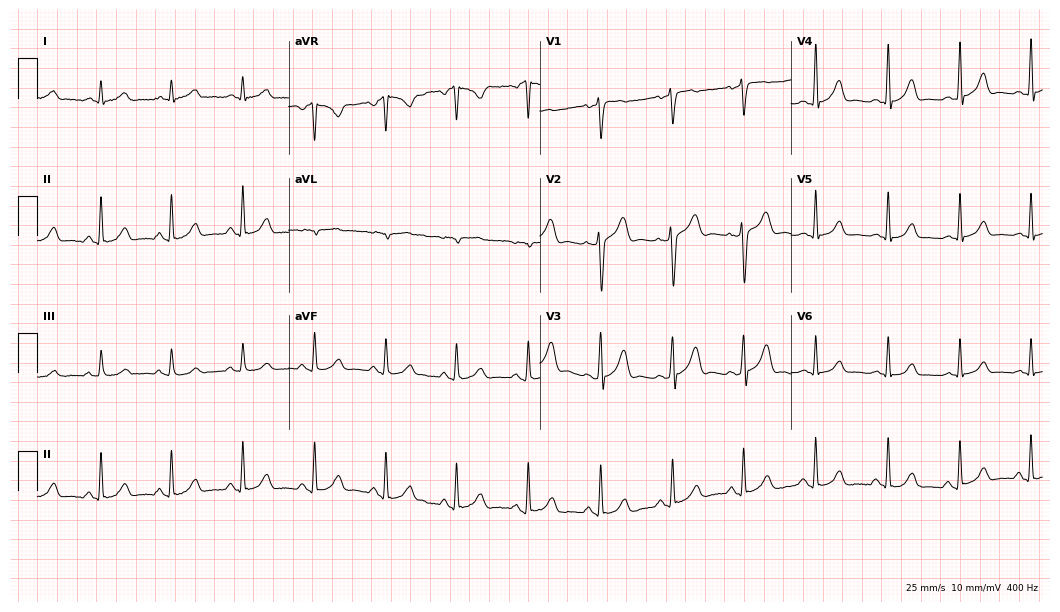
Electrocardiogram (10.2-second recording at 400 Hz), a man, 50 years old. Overall reading on record: normal ECG.